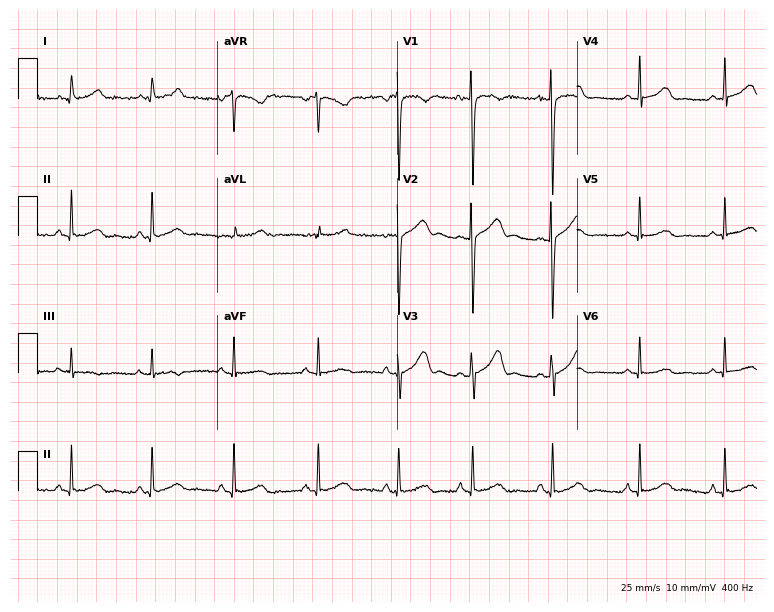
ECG — a female patient, 24 years old. Labelled as a normal ECG.